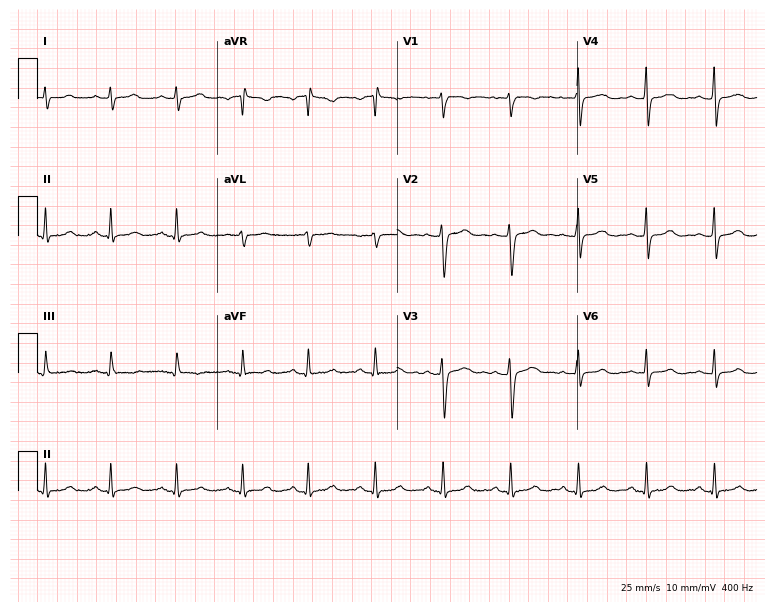
12-lead ECG (7.3-second recording at 400 Hz) from a 32-year-old female. Screened for six findings — first-degree AV block, right bundle branch block (RBBB), left bundle branch block (LBBB), sinus bradycardia, atrial fibrillation (AF), sinus tachycardia — none is recorded.